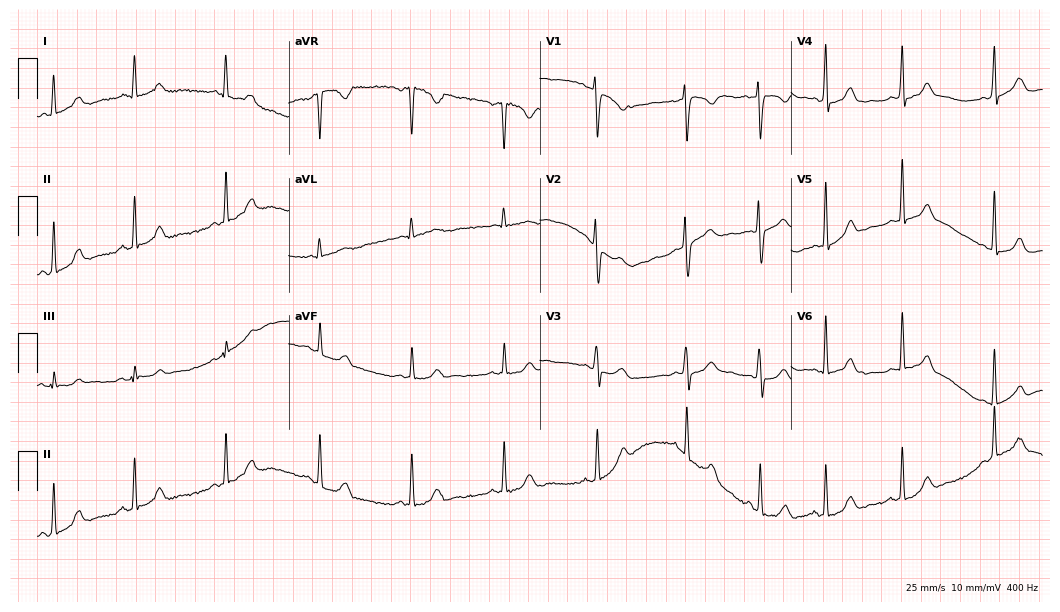
Resting 12-lead electrocardiogram. Patient: a female, 28 years old. Read as a normal ECG.